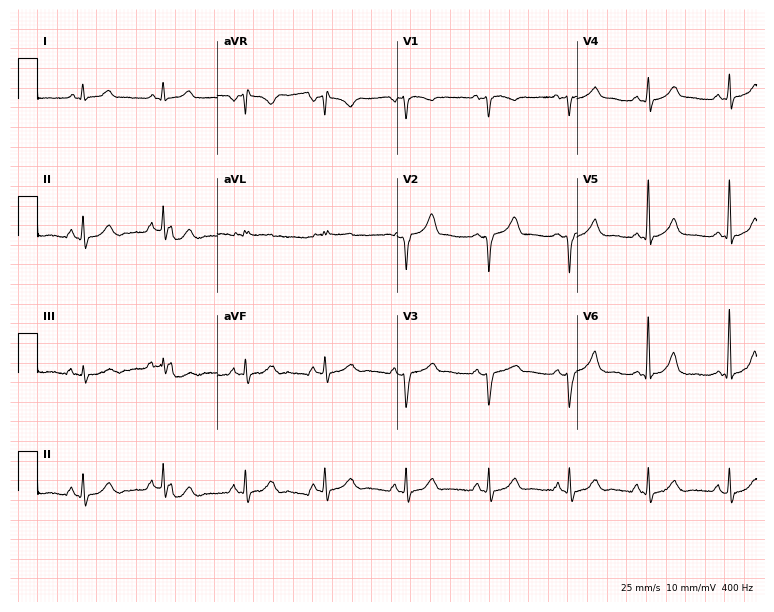
ECG (7.3-second recording at 400 Hz) — a 63-year-old woman. Labelled as a normal ECG.